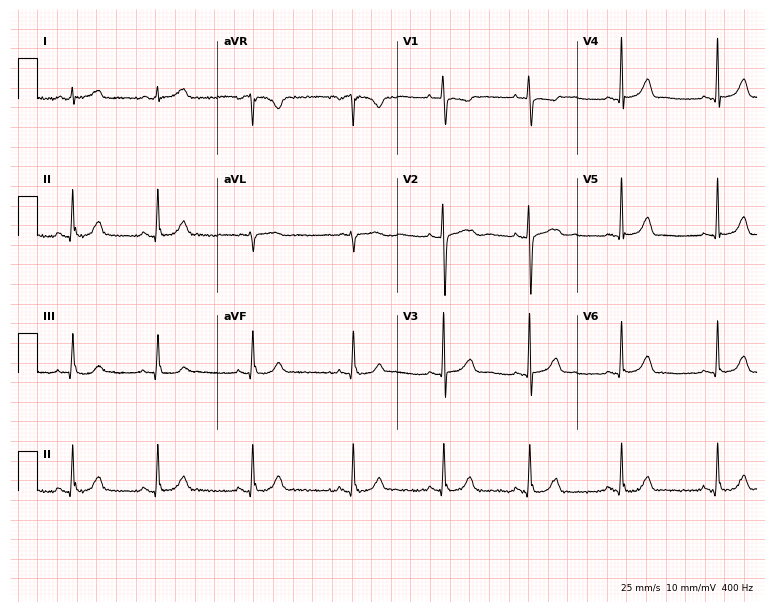
Standard 12-lead ECG recorded from an 18-year-old female (7.3-second recording at 400 Hz). None of these six findings is recorded: first-degree AV block, right bundle branch block (RBBB), left bundle branch block (LBBB), sinus bradycardia, atrial fibrillation (AF), sinus tachycardia.